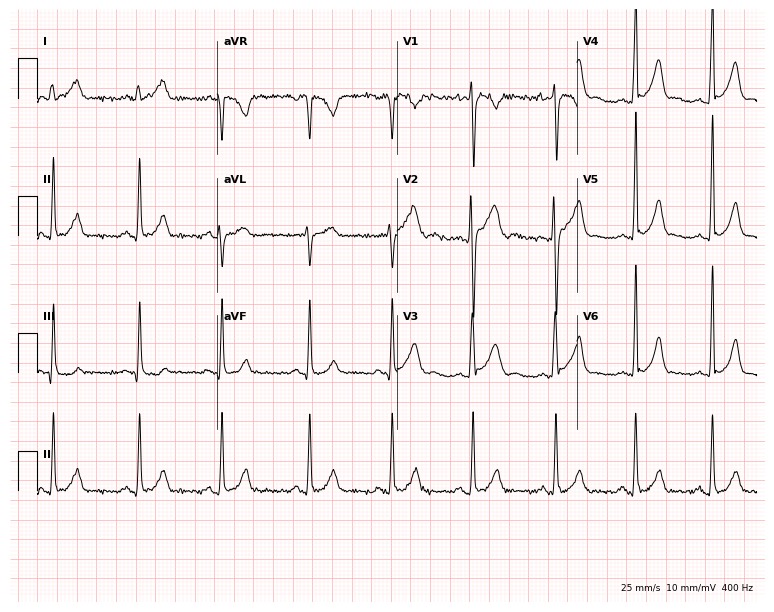
12-lead ECG from a 20-year-old man. Screened for six findings — first-degree AV block, right bundle branch block, left bundle branch block, sinus bradycardia, atrial fibrillation, sinus tachycardia — none is recorded.